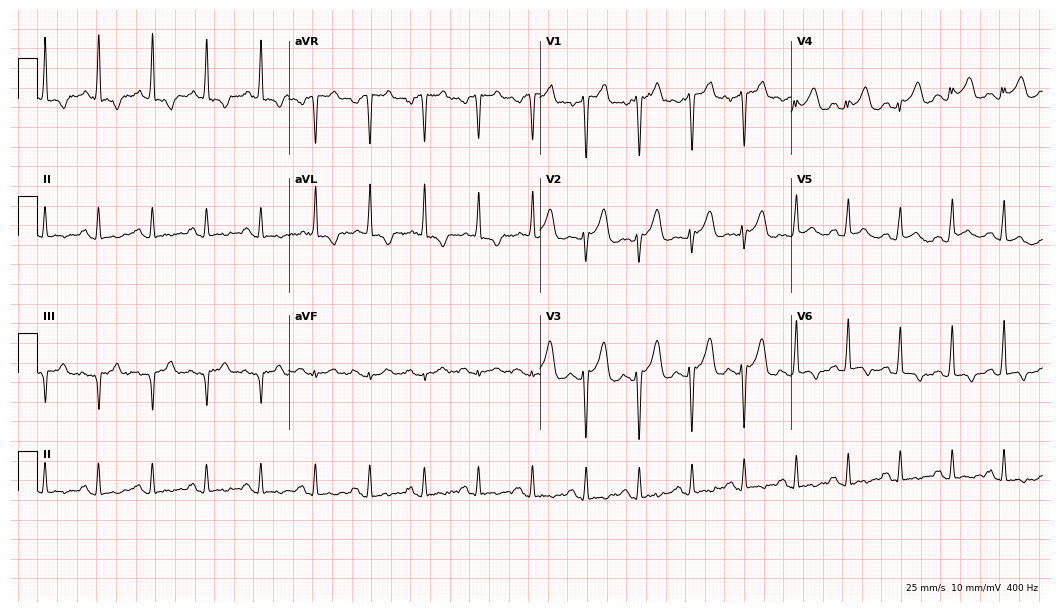
12-lead ECG (10.2-second recording at 400 Hz) from a 48-year-old male. Findings include sinus tachycardia (a sinus rate of 100 beats per minute or more).